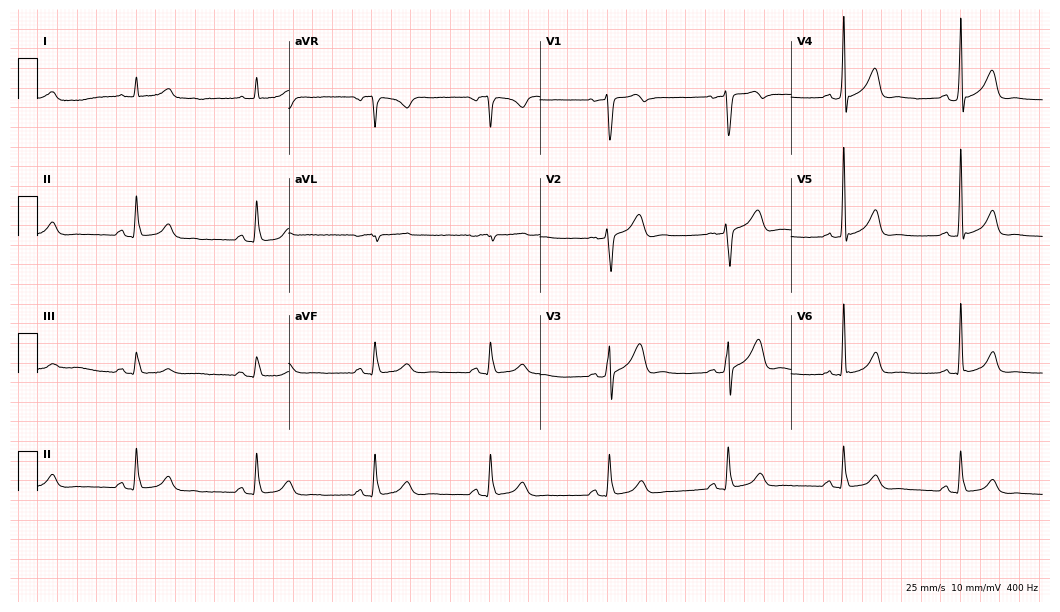
Resting 12-lead electrocardiogram (10.2-second recording at 400 Hz). Patient: a man, 60 years old. The tracing shows sinus bradycardia (a sinus rate of 50 beats per minute or less).